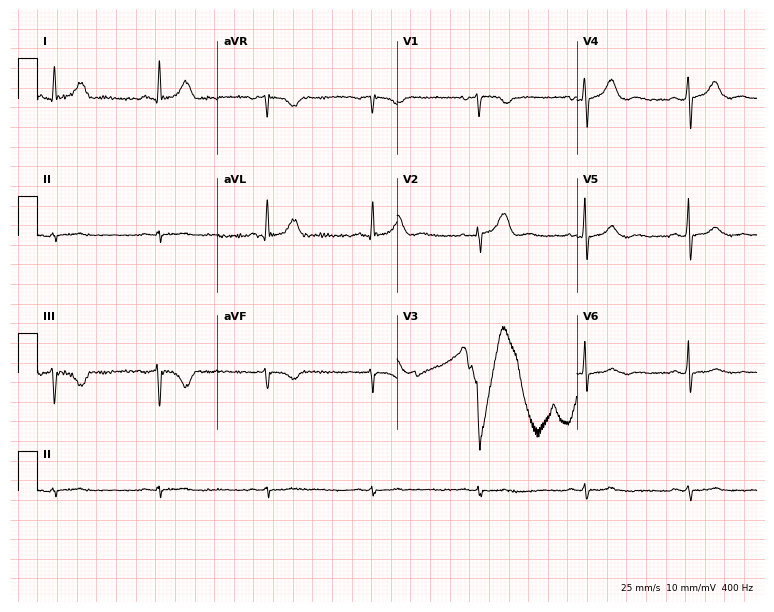
Resting 12-lead electrocardiogram (7.3-second recording at 400 Hz). Patient: a female, 54 years old. None of these six findings is recorded: first-degree AV block, right bundle branch block (RBBB), left bundle branch block (LBBB), sinus bradycardia, atrial fibrillation (AF), sinus tachycardia. Findings outside these six are not listed.